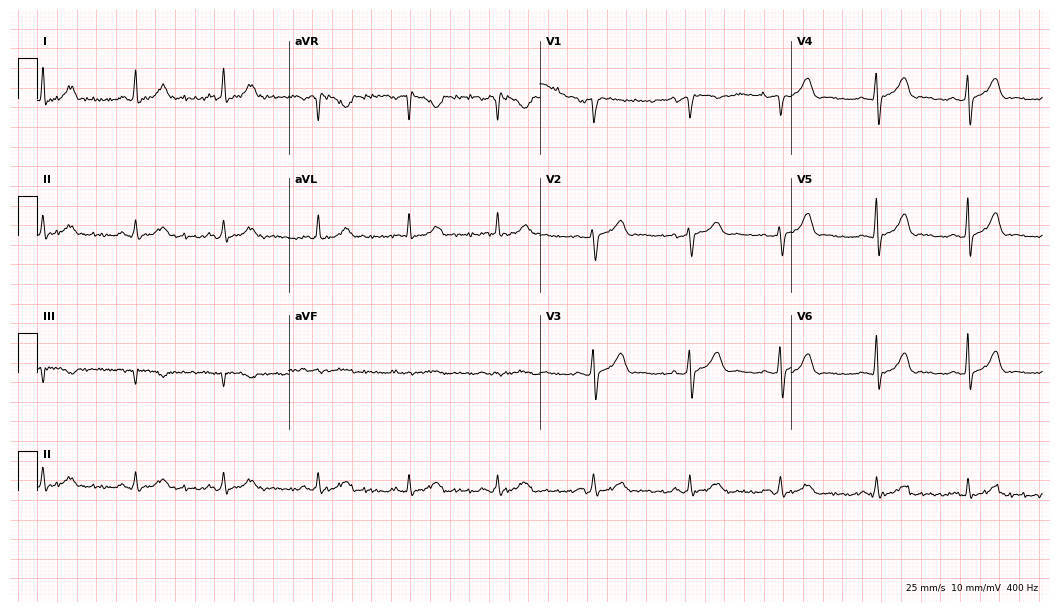
Electrocardiogram (10.2-second recording at 400 Hz), a male, 35 years old. Overall reading on record: normal ECG.